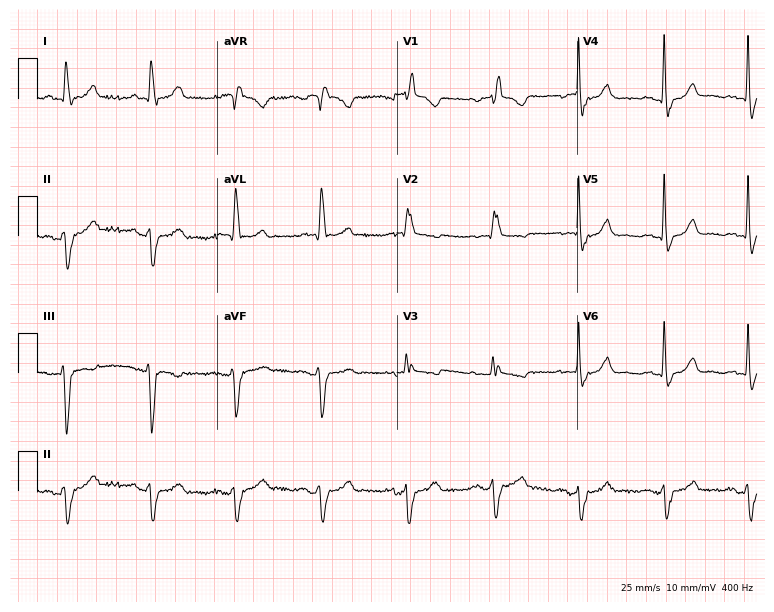
Electrocardiogram, a female patient, 85 years old. Interpretation includes right bundle branch block (RBBB).